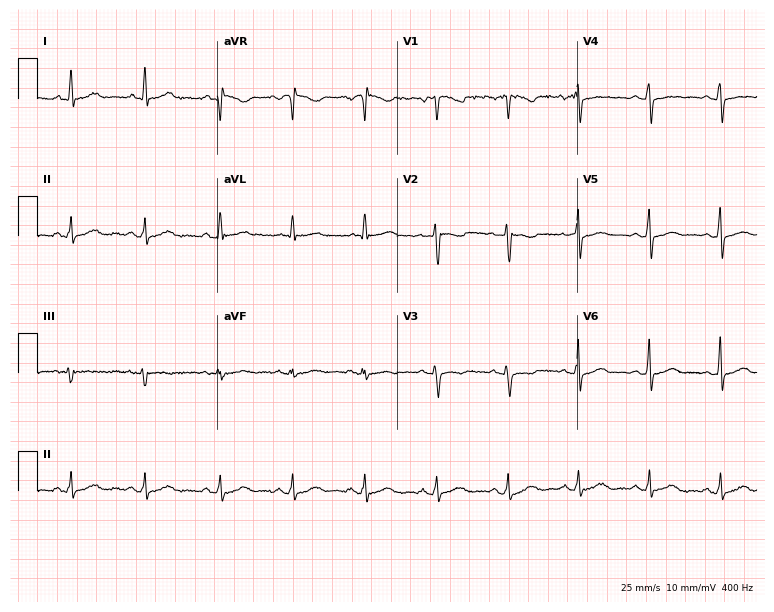
Resting 12-lead electrocardiogram. Patient: a 46-year-old female. Read as a normal ECG.